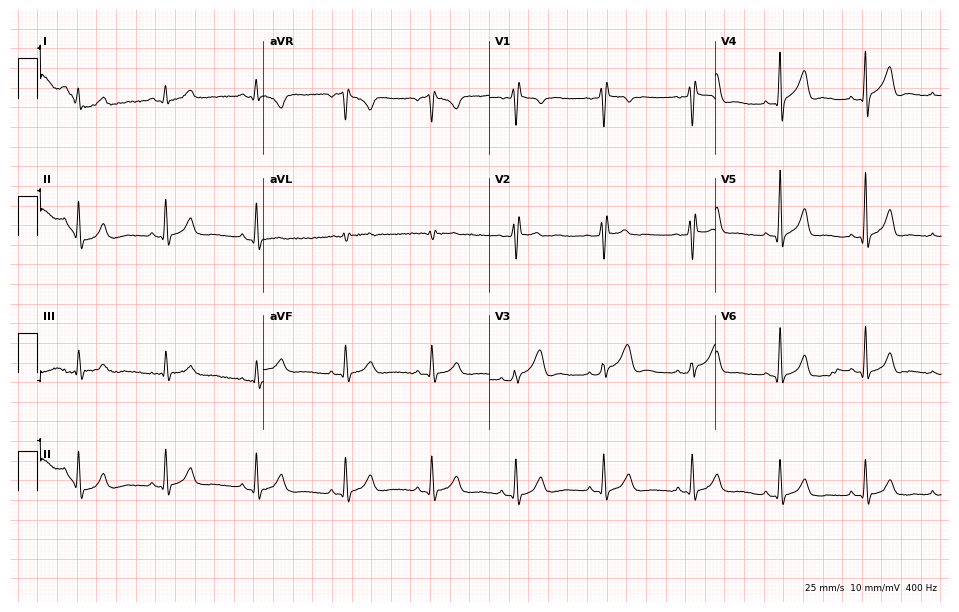
Resting 12-lead electrocardiogram. Patient: a male, 28 years old. None of these six findings is recorded: first-degree AV block, right bundle branch block (RBBB), left bundle branch block (LBBB), sinus bradycardia, atrial fibrillation (AF), sinus tachycardia.